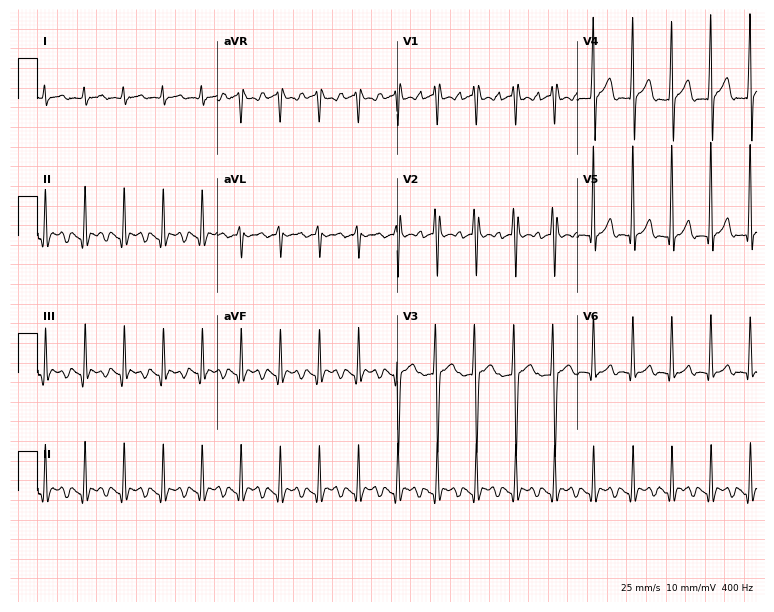
Electrocardiogram, a male patient, 44 years old. Of the six screened findings (first-degree AV block, right bundle branch block, left bundle branch block, sinus bradycardia, atrial fibrillation, sinus tachycardia), none is recorded.